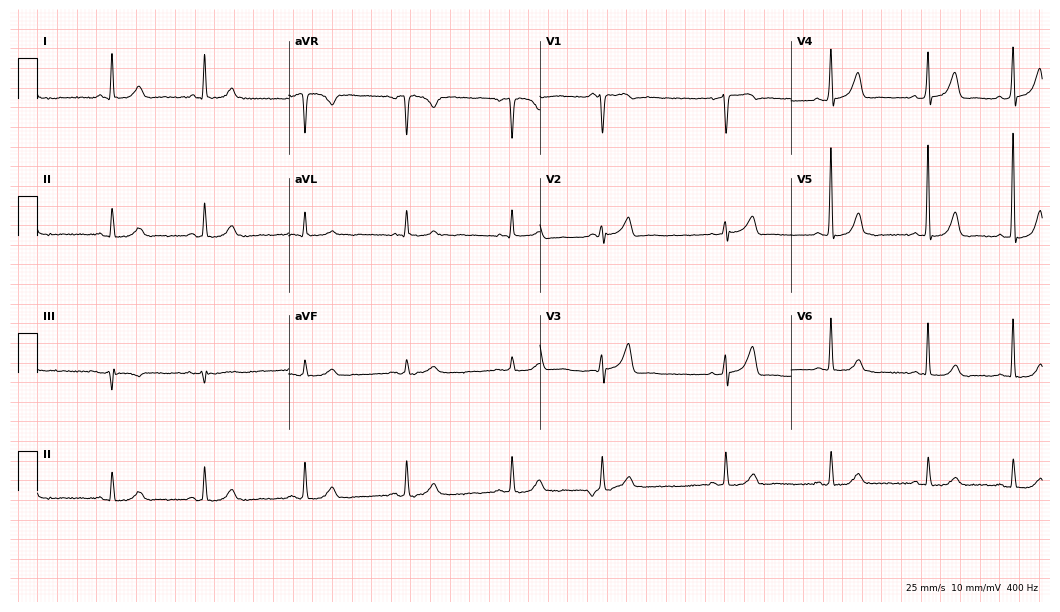
Standard 12-lead ECG recorded from a female, 65 years old. Read as a normal ECG.